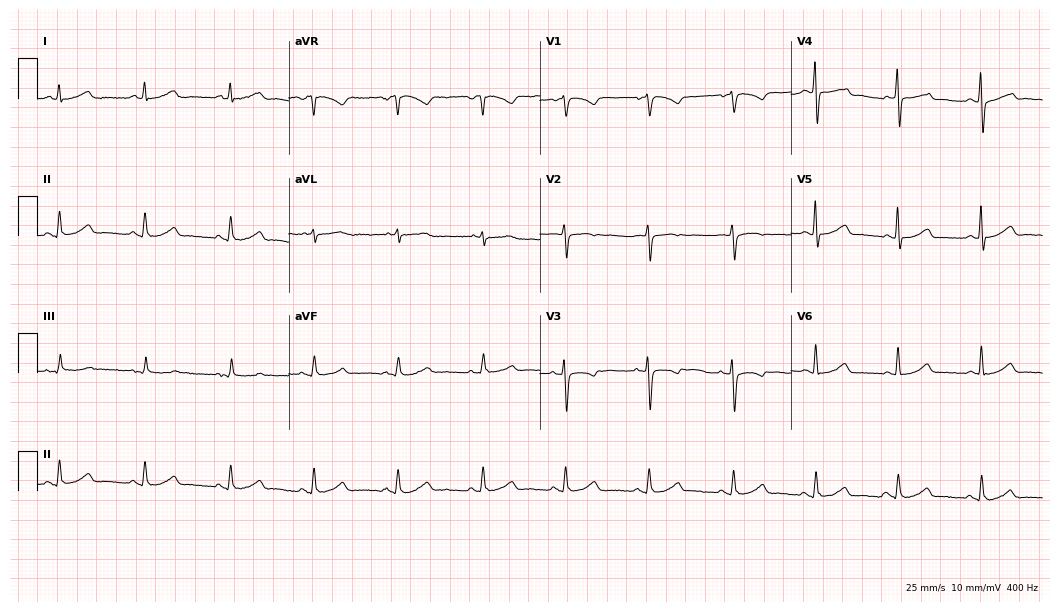
Standard 12-lead ECG recorded from a 48-year-old female. None of these six findings is recorded: first-degree AV block, right bundle branch block, left bundle branch block, sinus bradycardia, atrial fibrillation, sinus tachycardia.